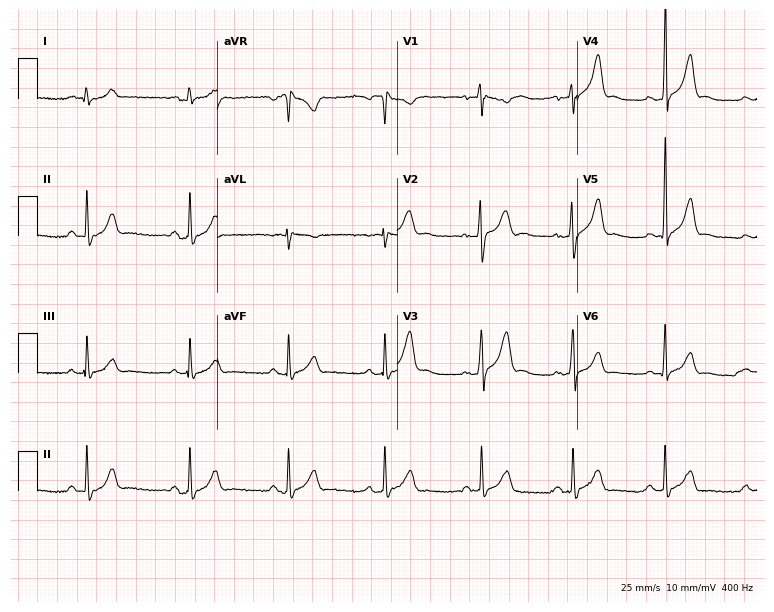
Electrocardiogram (7.3-second recording at 400 Hz), a 29-year-old male patient. Overall reading on record: normal ECG.